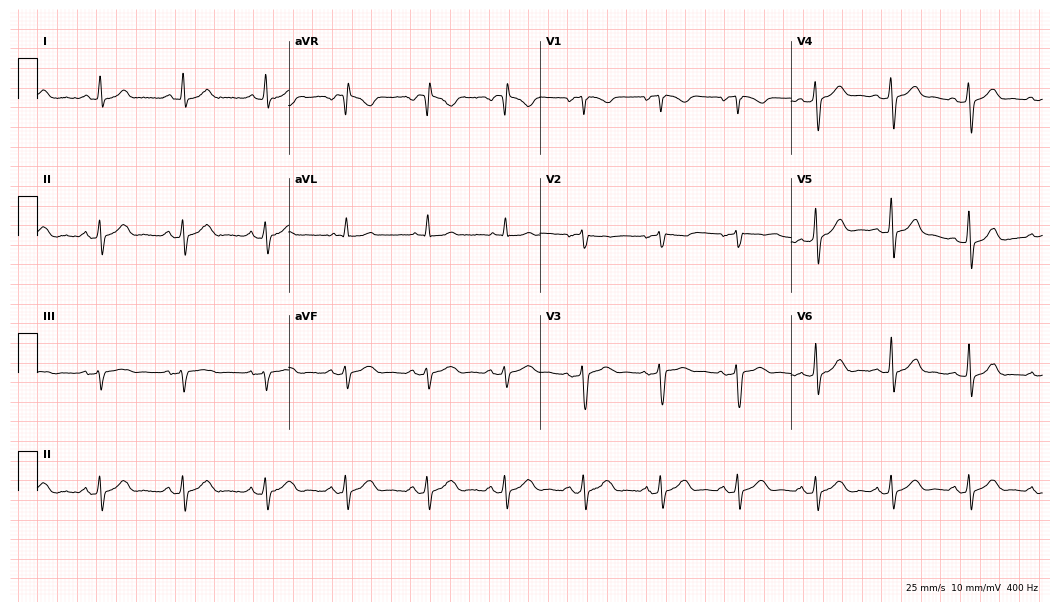
12-lead ECG from a female patient, 36 years old. No first-degree AV block, right bundle branch block, left bundle branch block, sinus bradycardia, atrial fibrillation or sinus tachycardia recorded for this tracing.